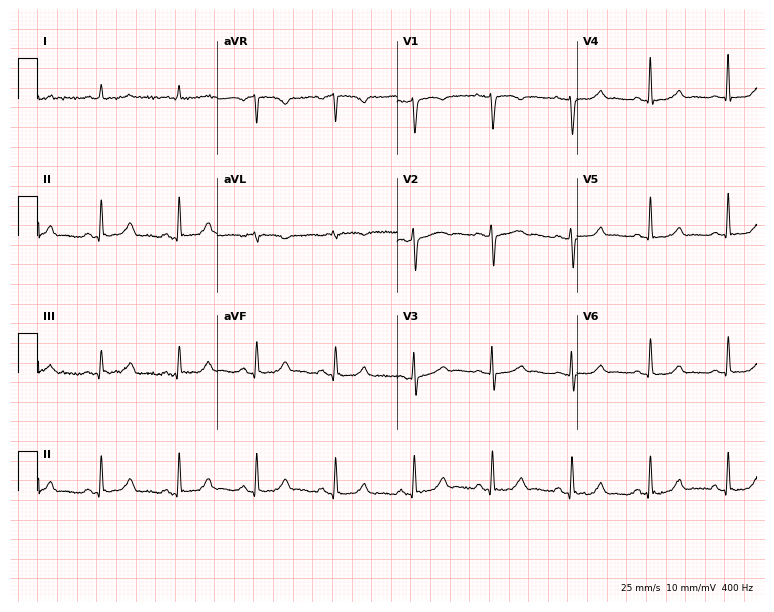
12-lead ECG (7.3-second recording at 400 Hz) from a female, 65 years old. Labelled as a normal ECG.